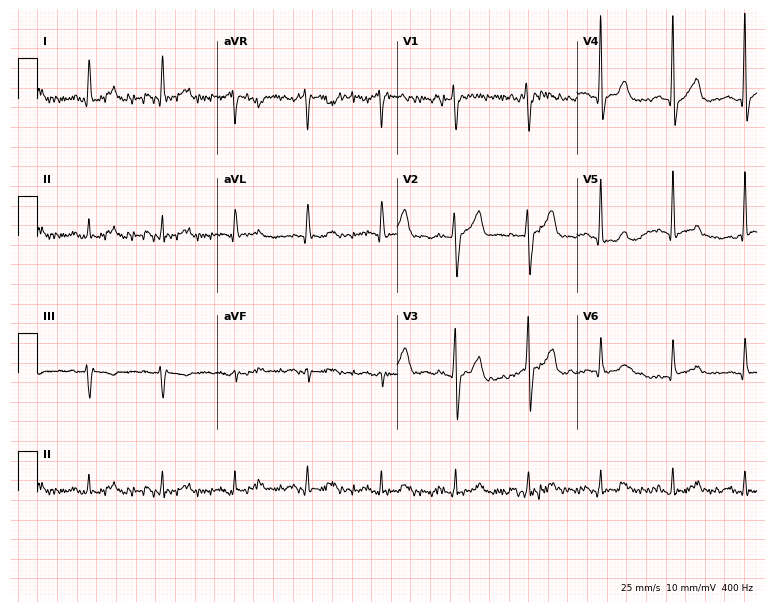
12-lead ECG from a man, 51 years old. Recorded interpretation: within normal limits.